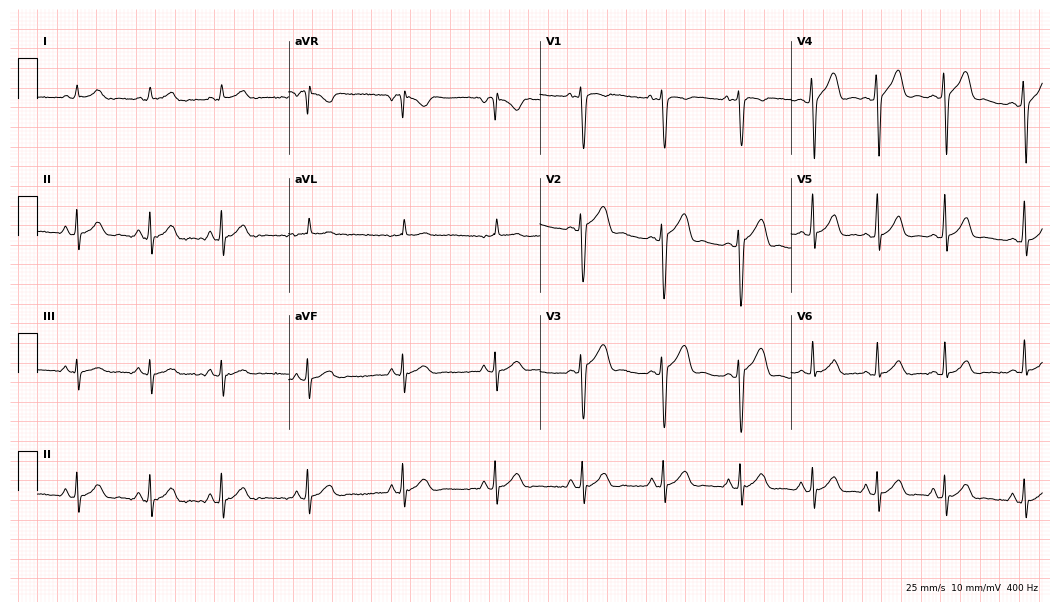
Resting 12-lead electrocardiogram. Patient: a 19-year-old male. None of these six findings is recorded: first-degree AV block, right bundle branch block, left bundle branch block, sinus bradycardia, atrial fibrillation, sinus tachycardia. Findings outside these six are not listed.